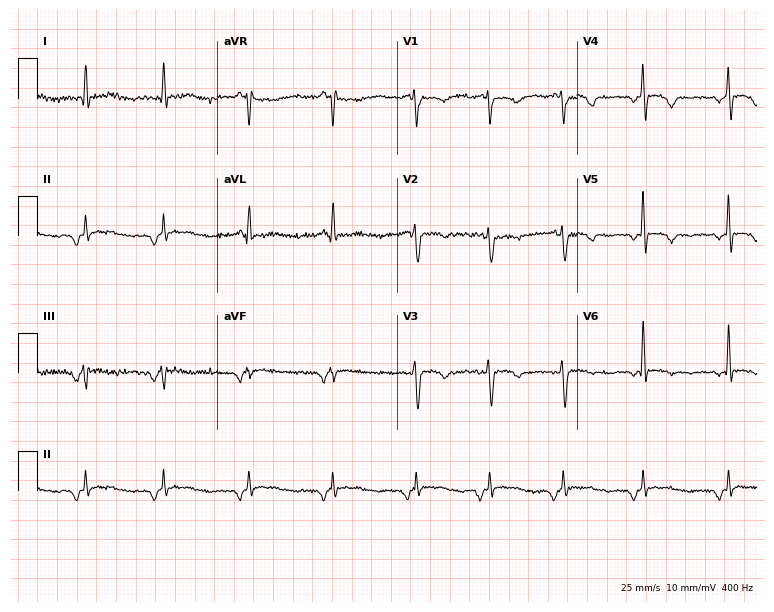
ECG (7.3-second recording at 400 Hz) — a 49-year-old woman. Screened for six findings — first-degree AV block, right bundle branch block, left bundle branch block, sinus bradycardia, atrial fibrillation, sinus tachycardia — none is recorded.